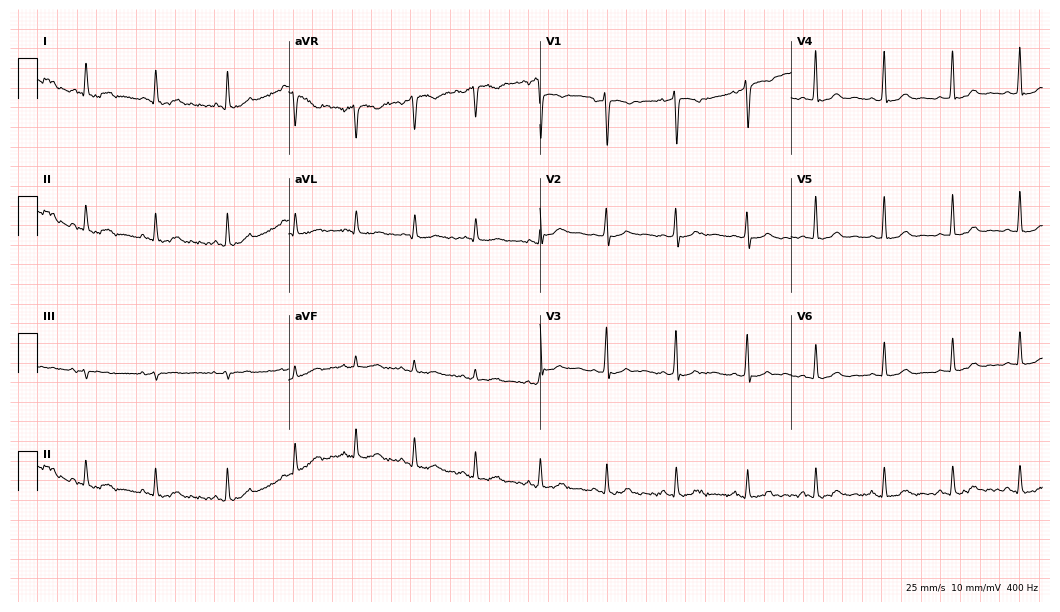
12-lead ECG from a woman, 33 years old. Screened for six findings — first-degree AV block, right bundle branch block, left bundle branch block, sinus bradycardia, atrial fibrillation, sinus tachycardia — none is recorded. Only these six findings were labelled.